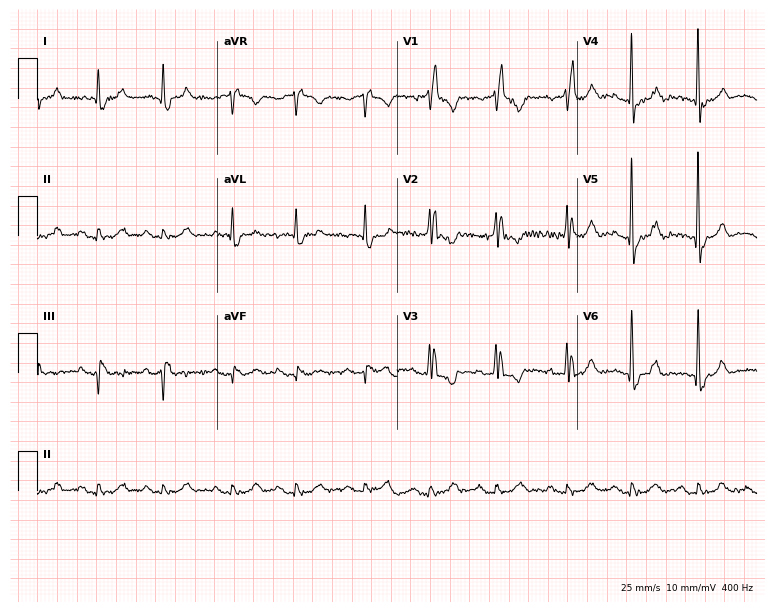
ECG — a male patient, 82 years old. Screened for six findings — first-degree AV block, right bundle branch block (RBBB), left bundle branch block (LBBB), sinus bradycardia, atrial fibrillation (AF), sinus tachycardia — none is recorded.